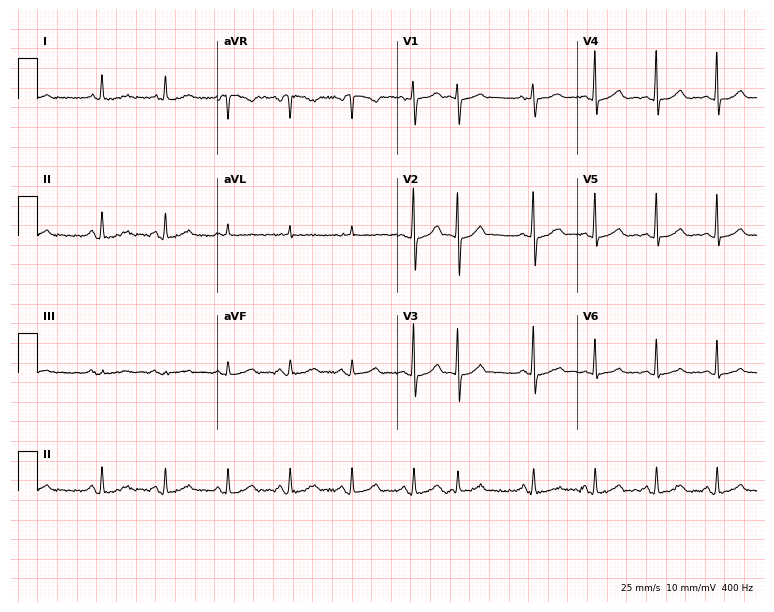
Standard 12-lead ECG recorded from a 69-year-old female (7.3-second recording at 400 Hz). Read as a normal ECG.